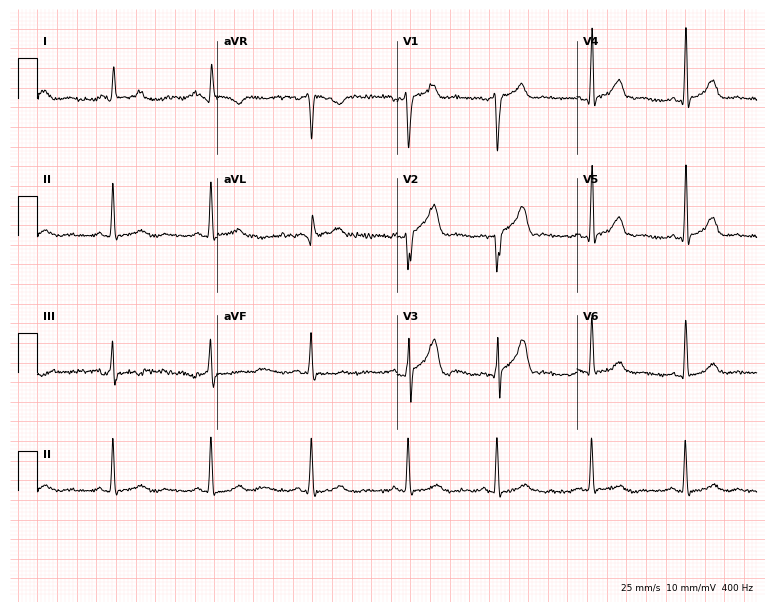
12-lead ECG from a male, 35 years old. Recorded interpretation: within normal limits.